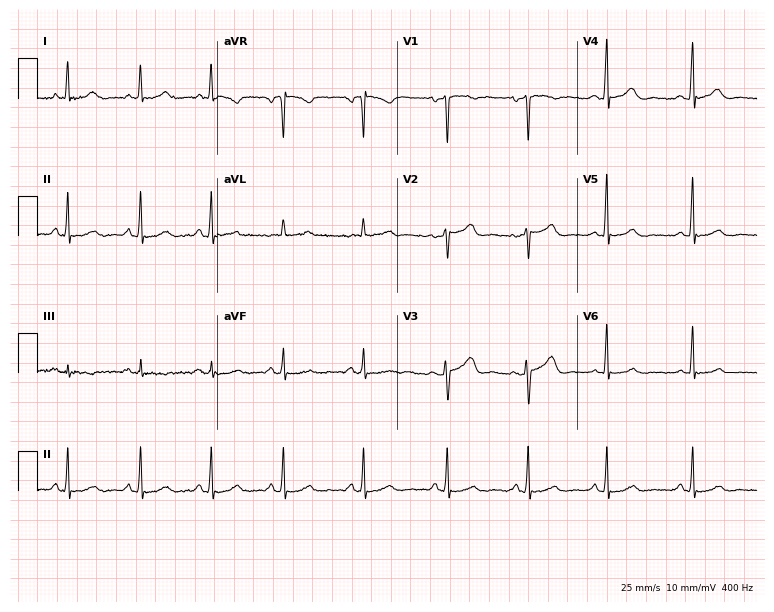
Resting 12-lead electrocardiogram (7.3-second recording at 400 Hz). Patient: a female, 52 years old. Read as a normal ECG.